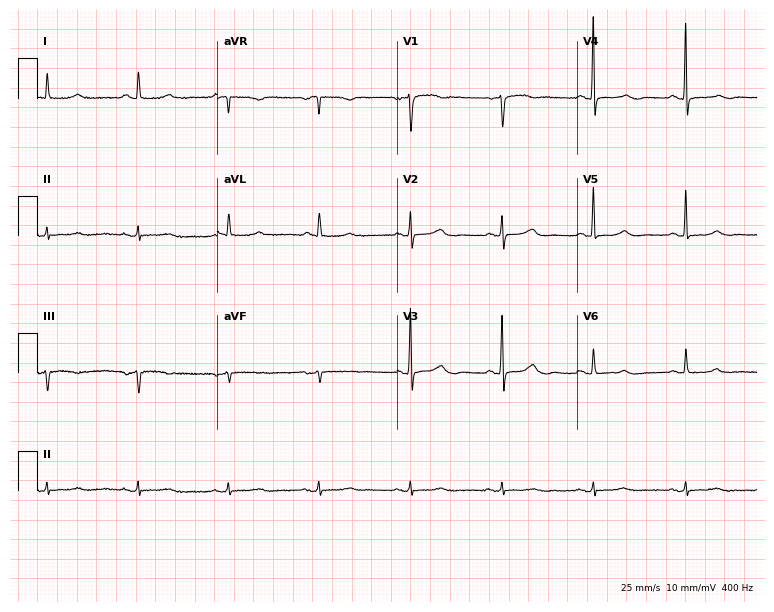
Resting 12-lead electrocardiogram. Patient: a female, 77 years old. None of these six findings is recorded: first-degree AV block, right bundle branch block, left bundle branch block, sinus bradycardia, atrial fibrillation, sinus tachycardia. Other findings, if any, are not listed.